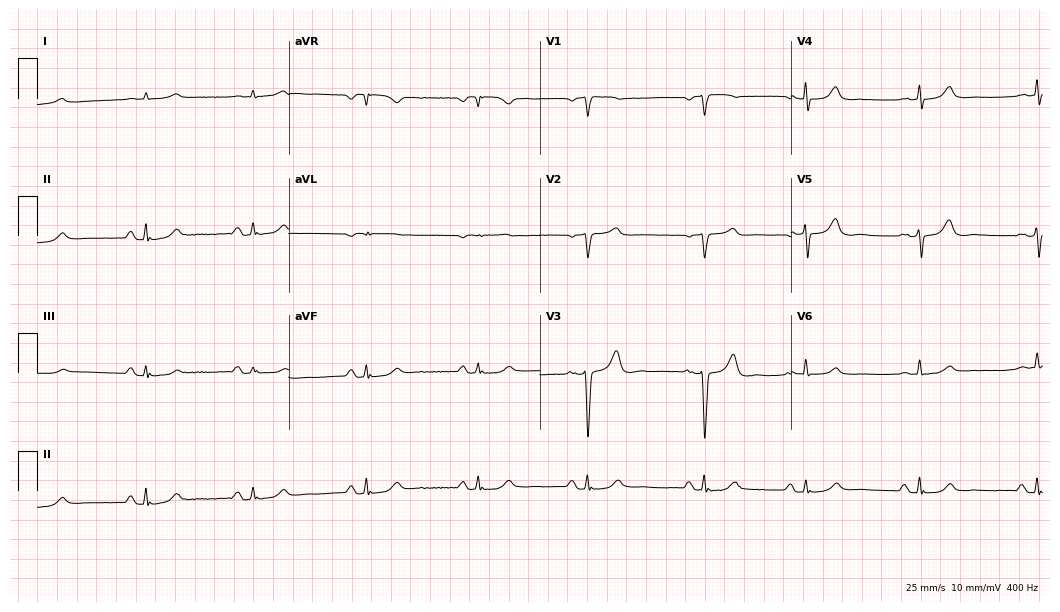
12-lead ECG from a 74-year-old male. No first-degree AV block, right bundle branch block, left bundle branch block, sinus bradycardia, atrial fibrillation or sinus tachycardia recorded for this tracing. Only these six findings were labelled.